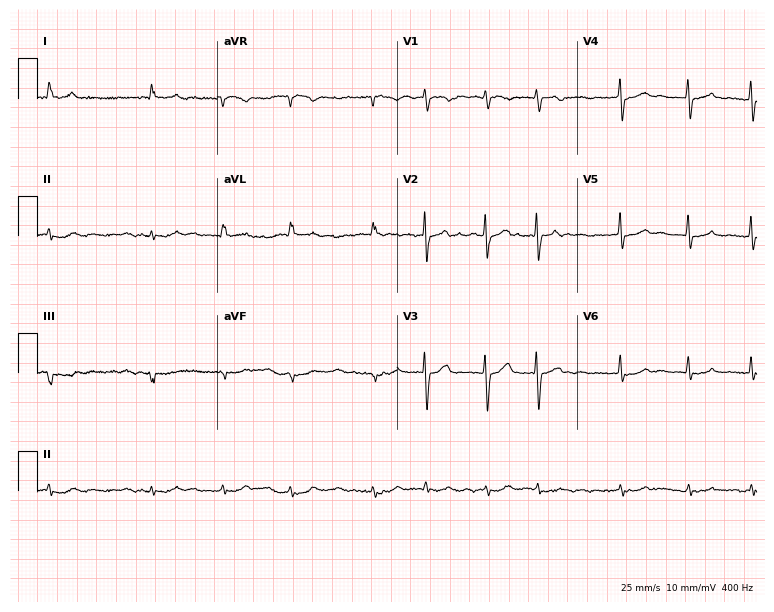
Standard 12-lead ECG recorded from a 76-year-old woman. The tracing shows atrial fibrillation.